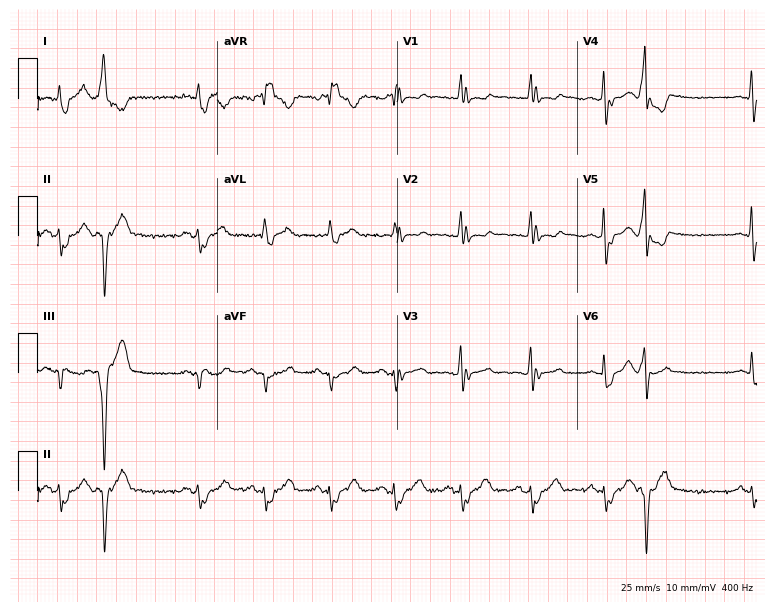
Electrocardiogram (7.3-second recording at 400 Hz), a male patient, 60 years old. Of the six screened findings (first-degree AV block, right bundle branch block, left bundle branch block, sinus bradycardia, atrial fibrillation, sinus tachycardia), none is recorded. Other findings, if any, are not listed.